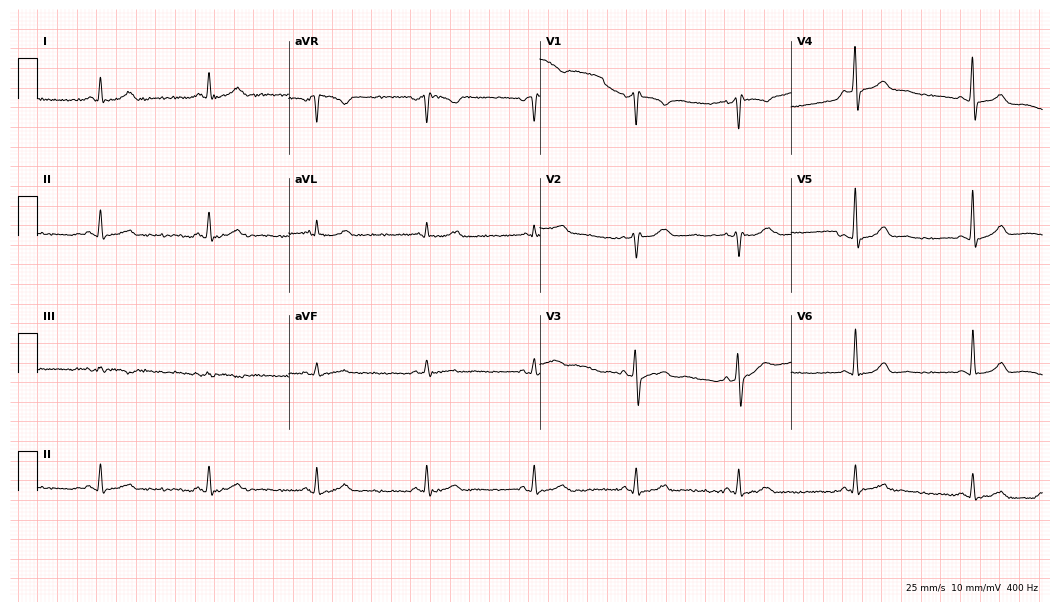
12-lead ECG (10.2-second recording at 400 Hz) from a 51-year-old male patient. Screened for six findings — first-degree AV block, right bundle branch block (RBBB), left bundle branch block (LBBB), sinus bradycardia, atrial fibrillation (AF), sinus tachycardia — none is recorded. Findings outside these six are not listed.